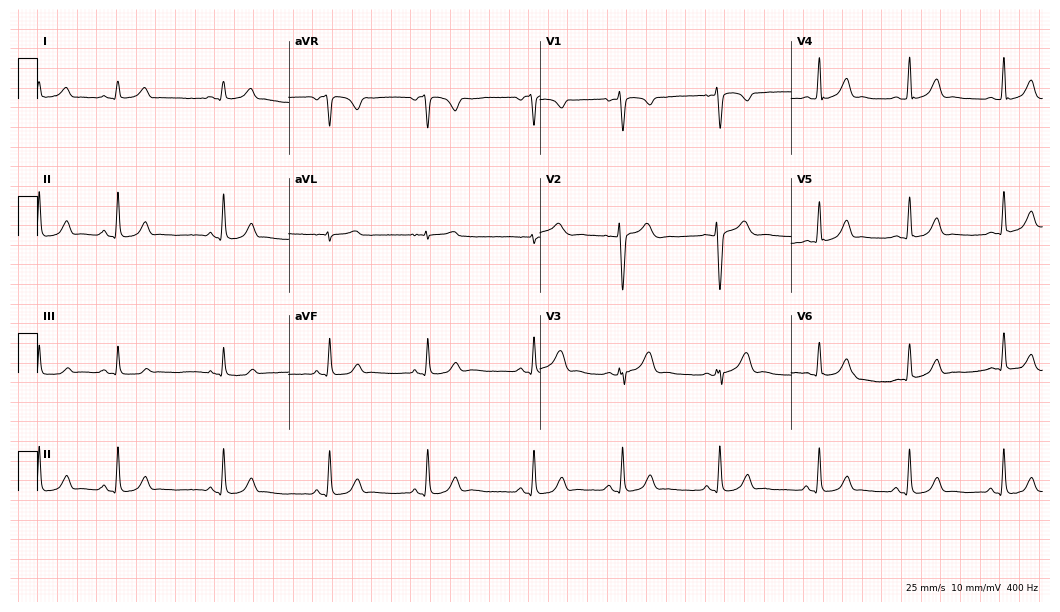
12-lead ECG from a female, 28 years old. Labelled as a normal ECG.